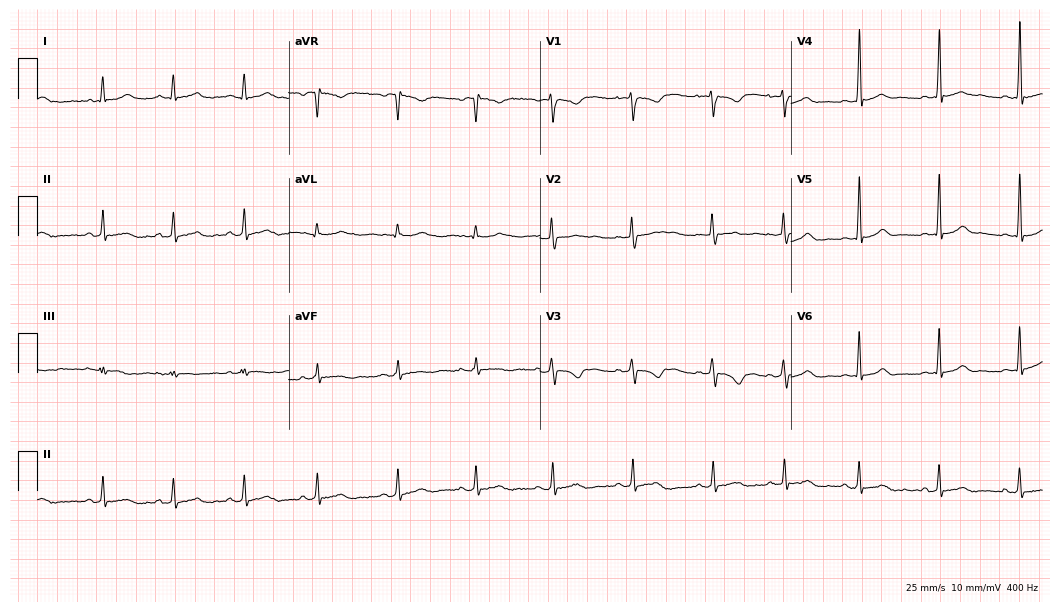
Resting 12-lead electrocardiogram. Patient: an 18-year-old woman. Read as a normal ECG.